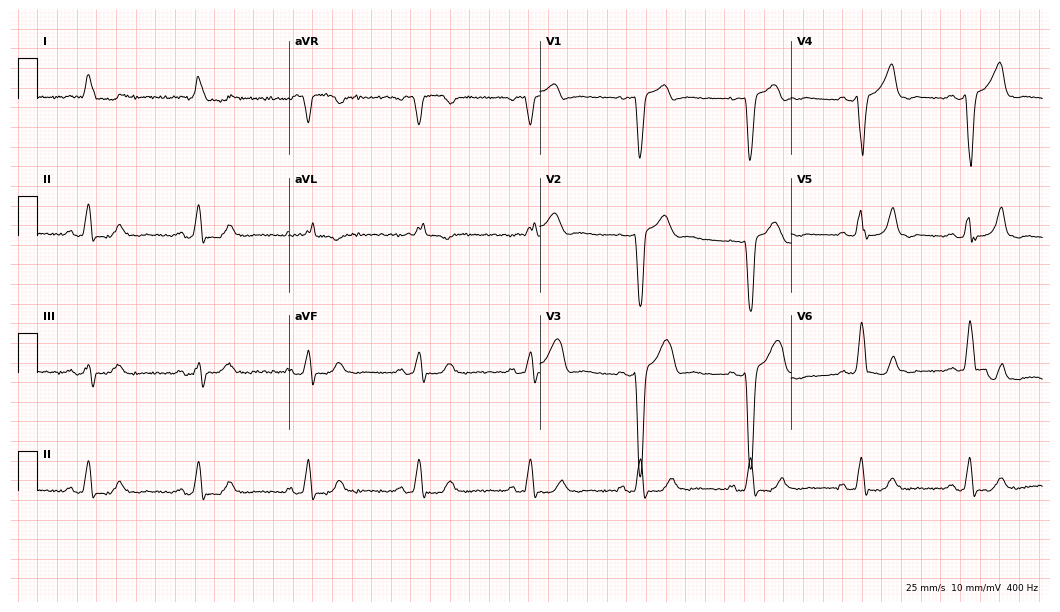
12-lead ECG from an 82-year-old male patient. Shows left bundle branch block.